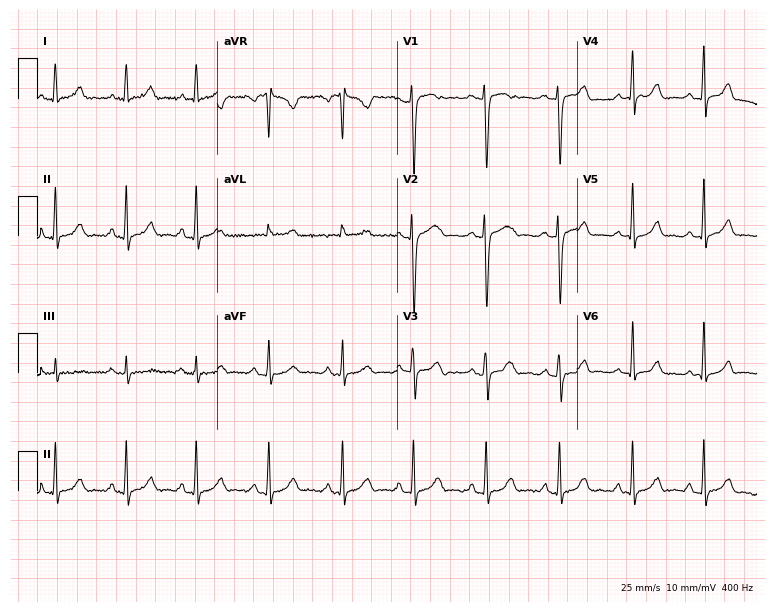
Electrocardiogram (7.3-second recording at 400 Hz), a 27-year-old woman. Overall reading on record: normal ECG.